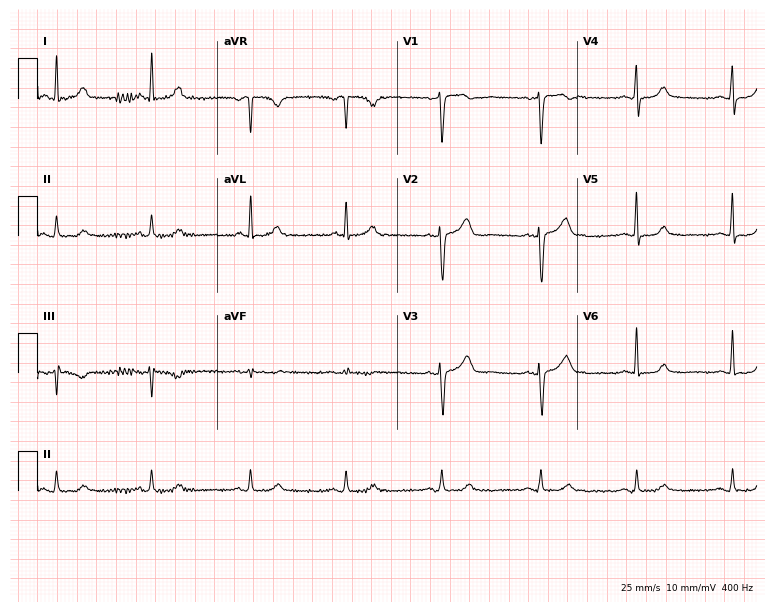
12-lead ECG from a 49-year-old female patient. No first-degree AV block, right bundle branch block (RBBB), left bundle branch block (LBBB), sinus bradycardia, atrial fibrillation (AF) or sinus tachycardia recorded for this tracing.